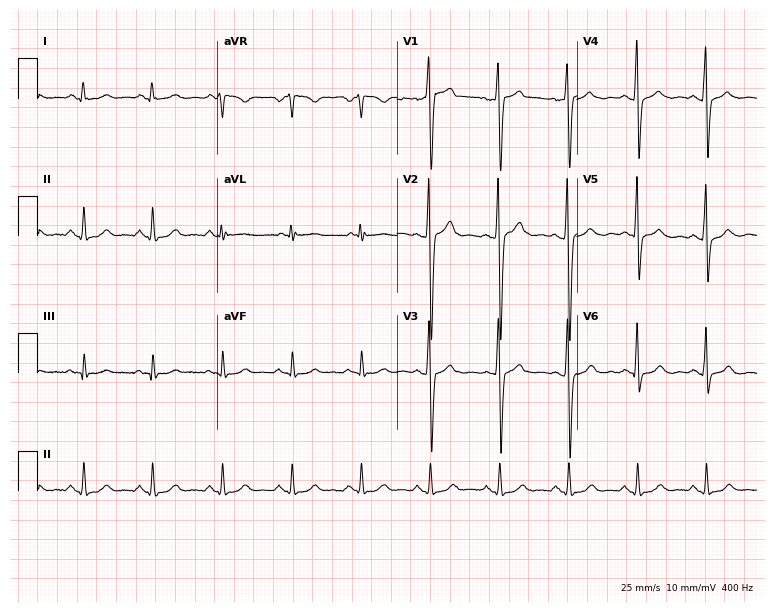
ECG — a 51-year-old man. Screened for six findings — first-degree AV block, right bundle branch block, left bundle branch block, sinus bradycardia, atrial fibrillation, sinus tachycardia — none is recorded.